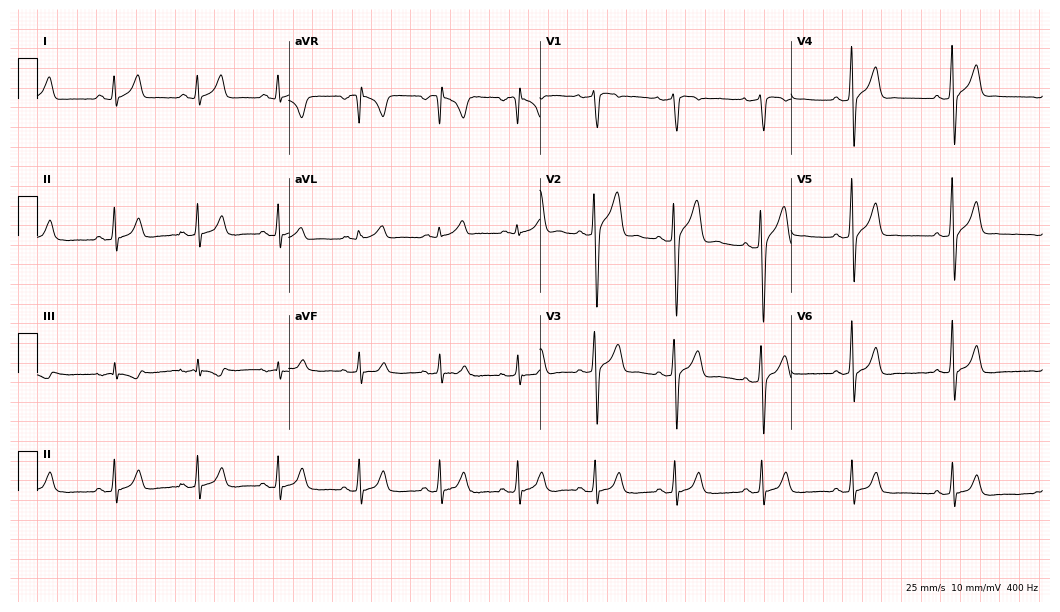
Resting 12-lead electrocardiogram. Patient: a male, 18 years old. Read as a normal ECG.